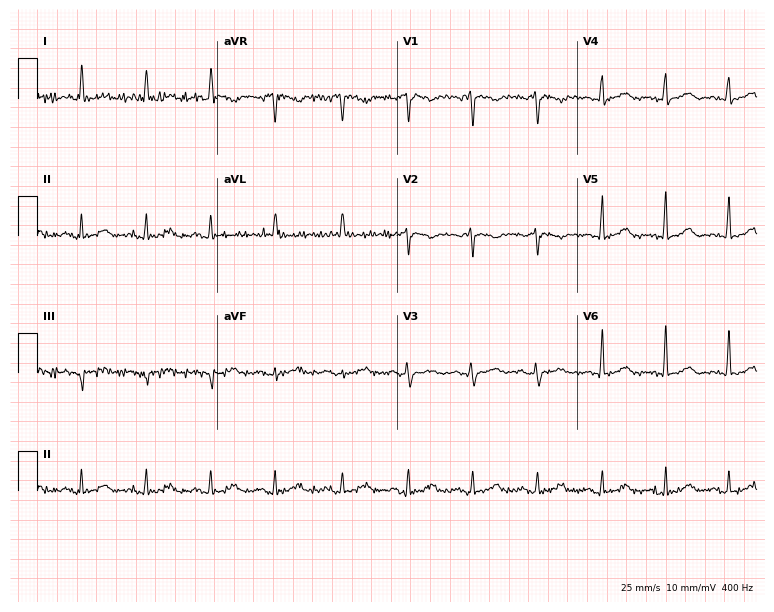
Electrocardiogram (7.3-second recording at 400 Hz), a 61-year-old female. Overall reading on record: normal ECG.